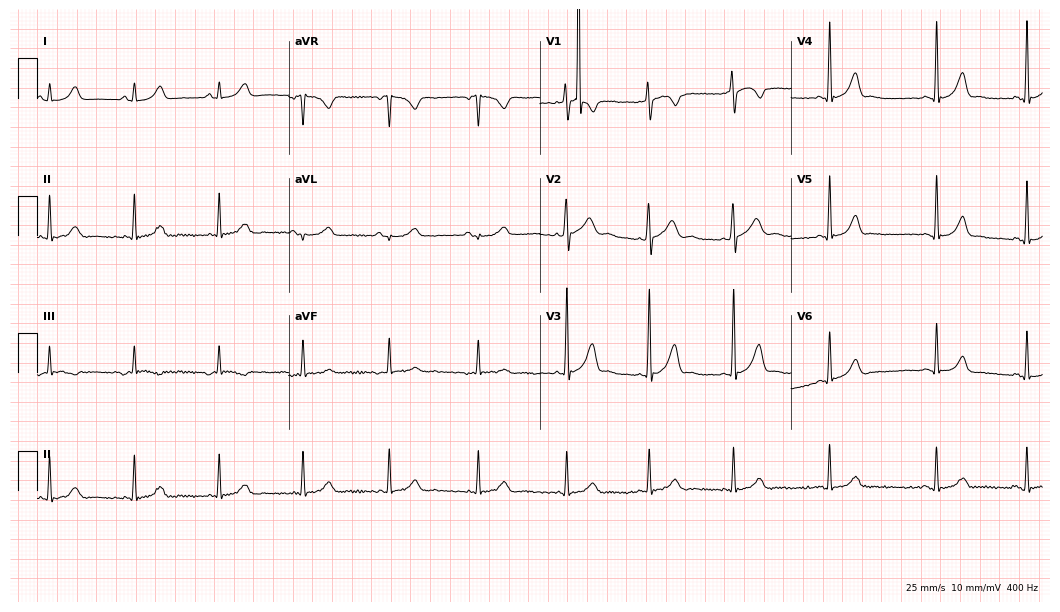
Resting 12-lead electrocardiogram (10.2-second recording at 400 Hz). Patient: a woman, 19 years old. Read as a normal ECG.